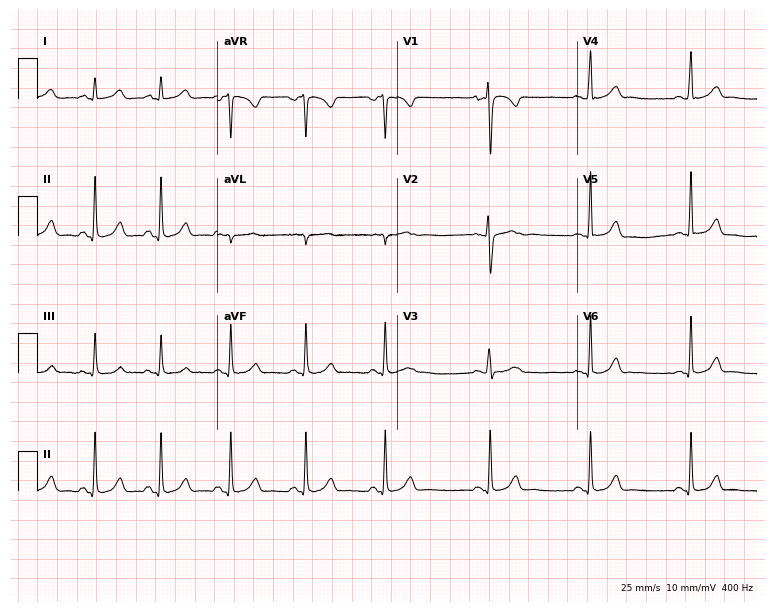
ECG — a female patient, 25 years old. Labelled as a normal ECG.